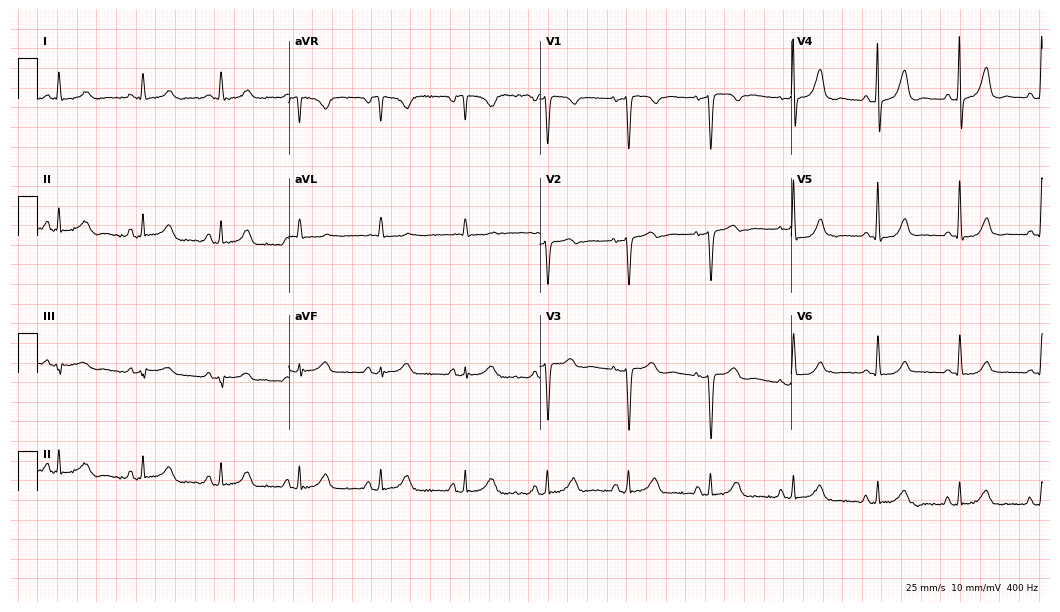
Standard 12-lead ECG recorded from a 69-year-old woman (10.2-second recording at 400 Hz). None of these six findings is recorded: first-degree AV block, right bundle branch block (RBBB), left bundle branch block (LBBB), sinus bradycardia, atrial fibrillation (AF), sinus tachycardia. Findings outside these six are not listed.